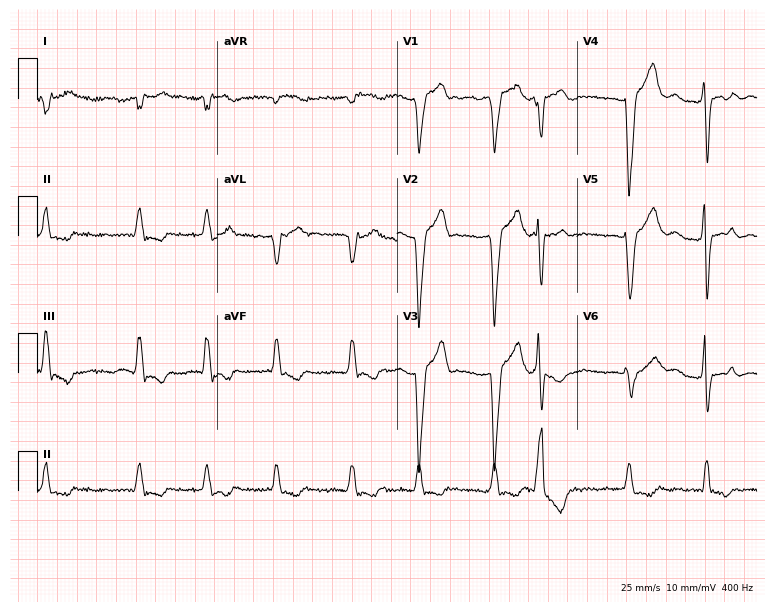
Electrocardiogram, a female patient, 73 years old. Of the six screened findings (first-degree AV block, right bundle branch block, left bundle branch block, sinus bradycardia, atrial fibrillation, sinus tachycardia), none is recorded.